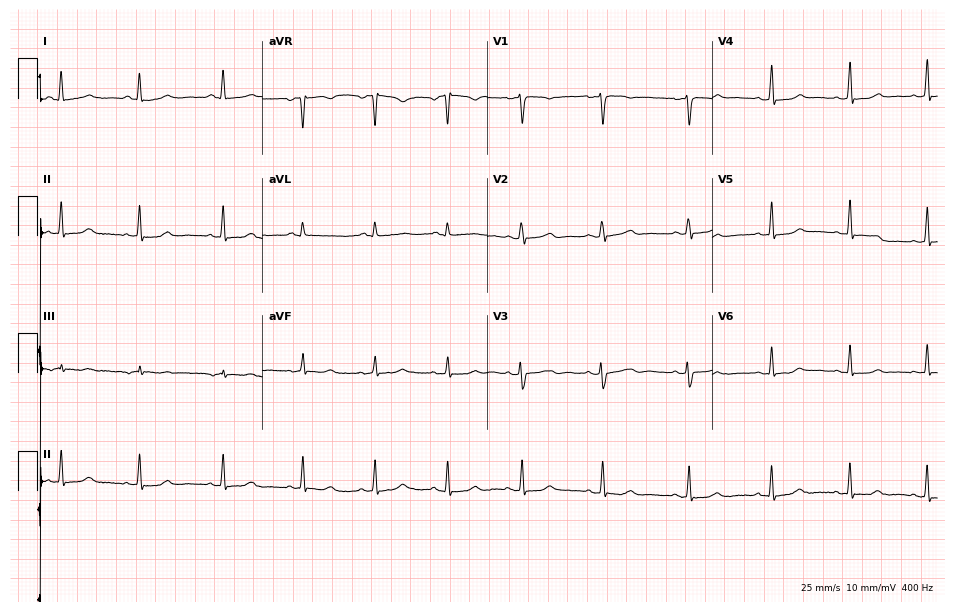
12-lead ECG from a female patient, 25 years old (9.2-second recording at 400 Hz). No first-degree AV block, right bundle branch block, left bundle branch block, sinus bradycardia, atrial fibrillation or sinus tachycardia recorded for this tracing. Only these six findings were labelled.